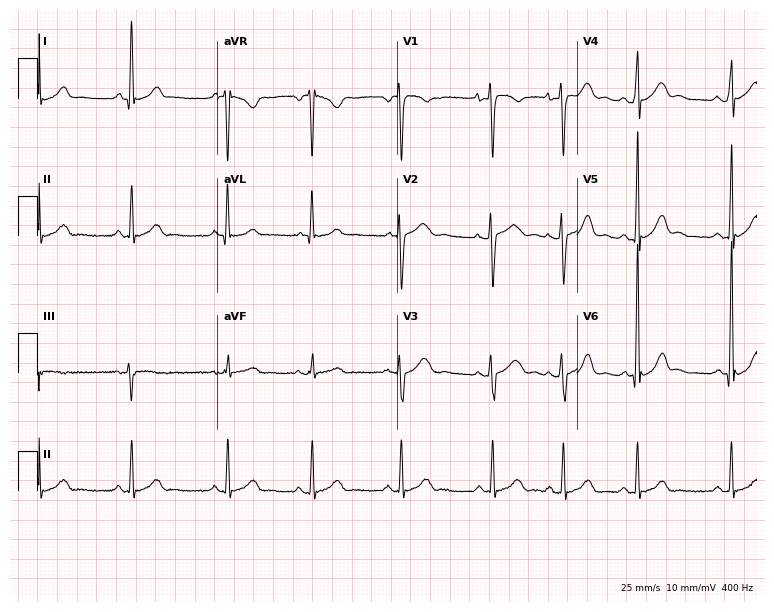
12-lead ECG from a 19-year-old female (7.3-second recording at 400 Hz). Recorded interpretation: within normal limits.